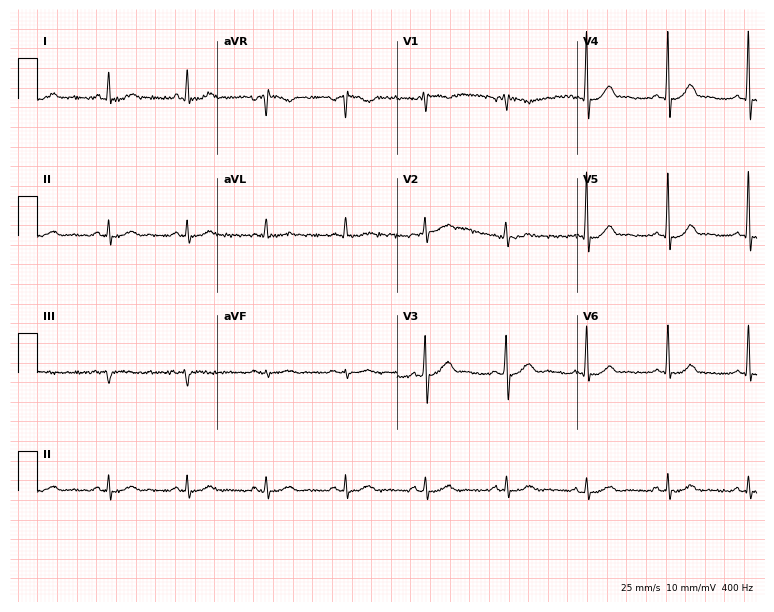
12-lead ECG from a male, 70 years old (7.3-second recording at 400 Hz). No first-degree AV block, right bundle branch block (RBBB), left bundle branch block (LBBB), sinus bradycardia, atrial fibrillation (AF) or sinus tachycardia recorded for this tracing. Only these six findings were labelled.